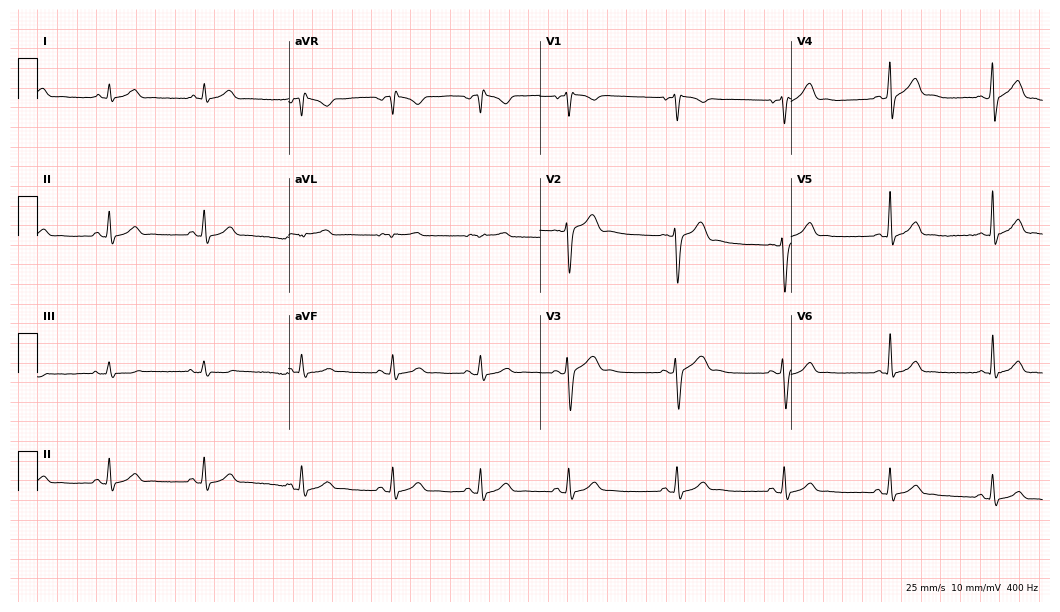
Resting 12-lead electrocardiogram (10.2-second recording at 400 Hz). Patient: a 39-year-old man. Read as a normal ECG.